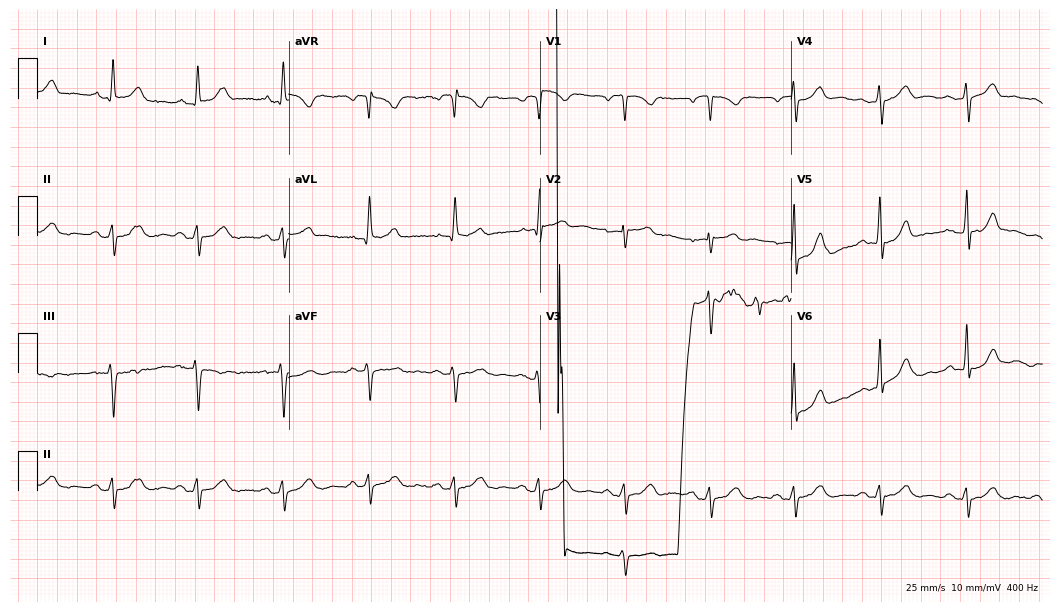
Electrocardiogram (10.2-second recording at 400 Hz), a male patient, 65 years old. Of the six screened findings (first-degree AV block, right bundle branch block (RBBB), left bundle branch block (LBBB), sinus bradycardia, atrial fibrillation (AF), sinus tachycardia), none is recorded. Findings outside these six are not listed.